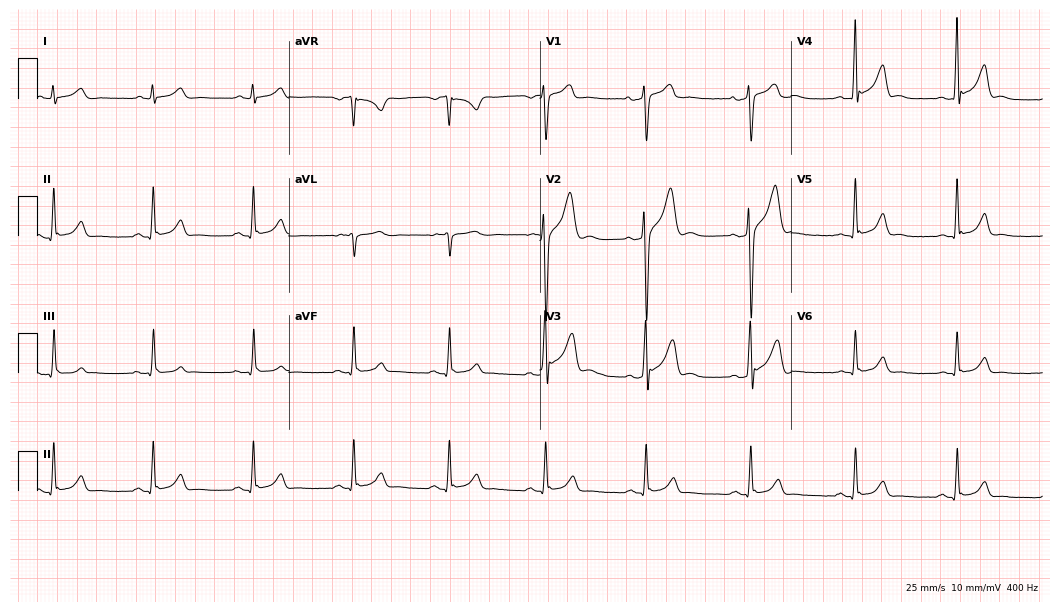
Standard 12-lead ECG recorded from a 45-year-old male. Read as a normal ECG.